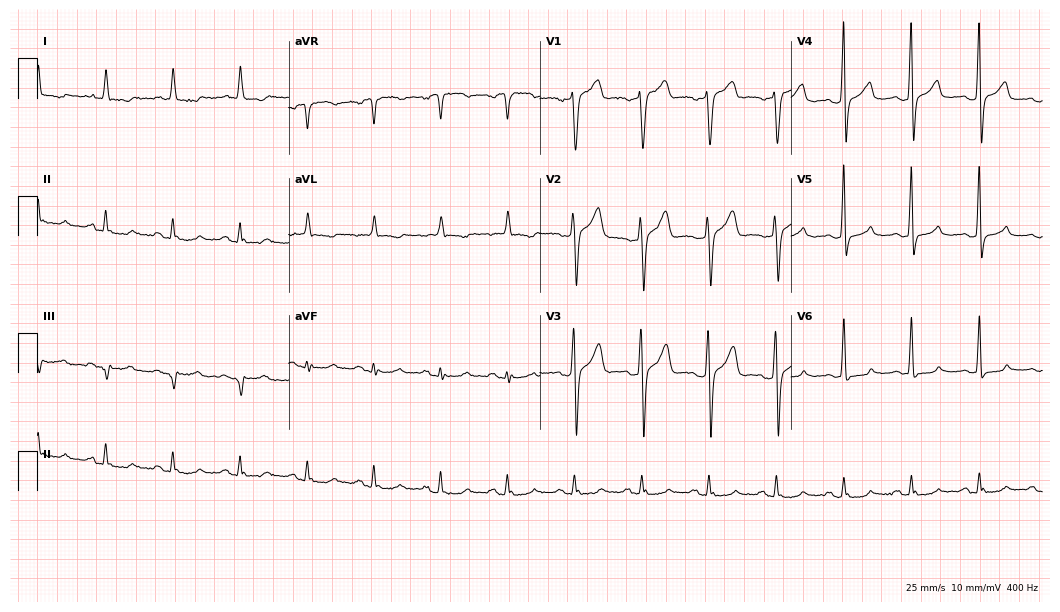
12-lead ECG from a male, 65 years old (10.2-second recording at 400 Hz). No first-degree AV block, right bundle branch block (RBBB), left bundle branch block (LBBB), sinus bradycardia, atrial fibrillation (AF) or sinus tachycardia recorded for this tracing. Only these six findings were labelled.